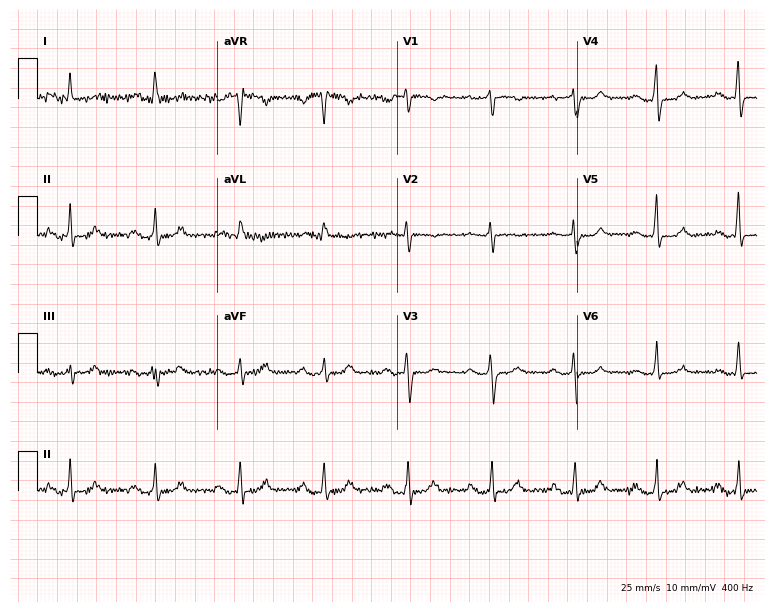
12-lead ECG from a female, 68 years old (7.3-second recording at 400 Hz). No first-degree AV block, right bundle branch block, left bundle branch block, sinus bradycardia, atrial fibrillation or sinus tachycardia recorded for this tracing.